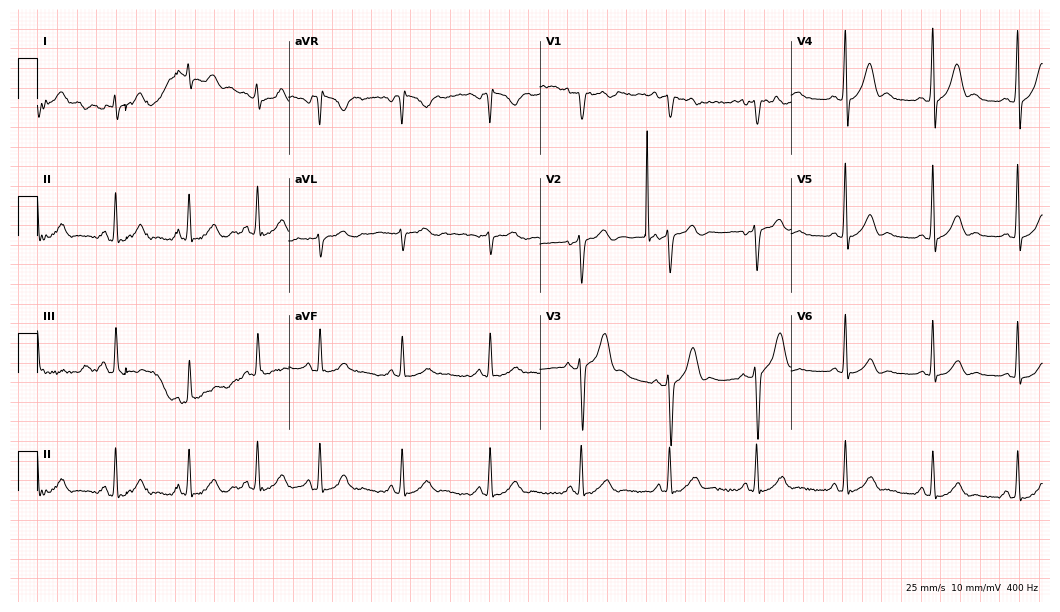
Electrocardiogram (10.2-second recording at 400 Hz), a female patient, 17 years old. Of the six screened findings (first-degree AV block, right bundle branch block, left bundle branch block, sinus bradycardia, atrial fibrillation, sinus tachycardia), none is recorded.